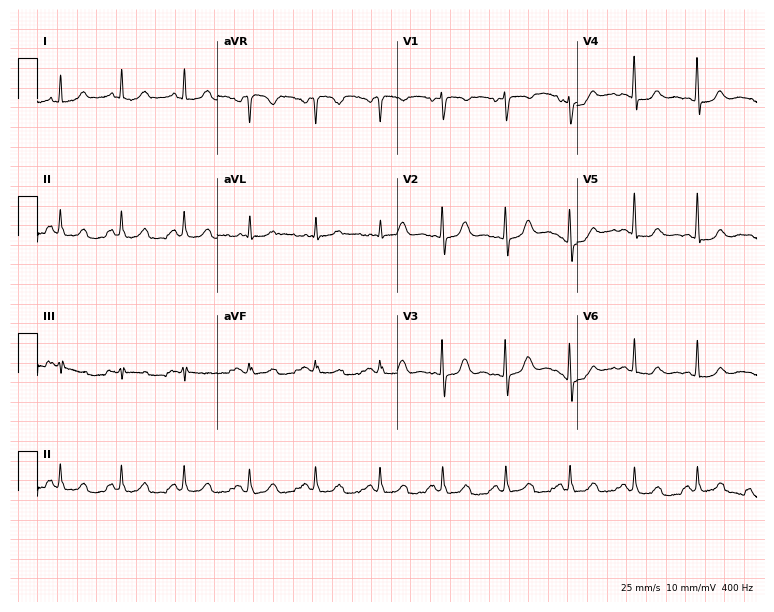
12-lead ECG from a female, 52 years old (7.3-second recording at 400 Hz). No first-degree AV block, right bundle branch block, left bundle branch block, sinus bradycardia, atrial fibrillation or sinus tachycardia recorded for this tracing. Other findings, if any, are not listed.